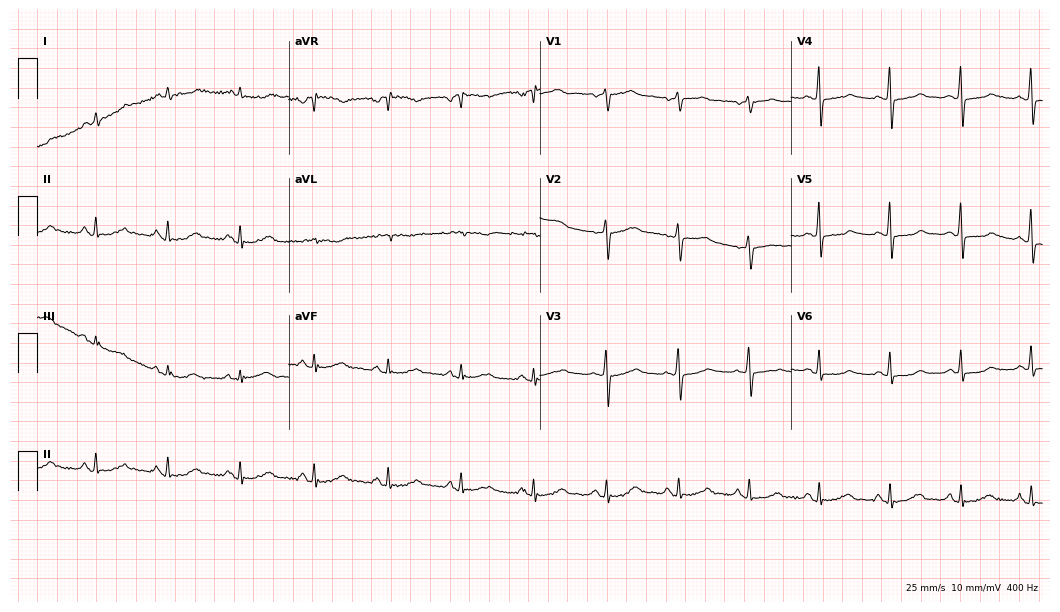
ECG — a 66-year-old female. Labelled as a normal ECG.